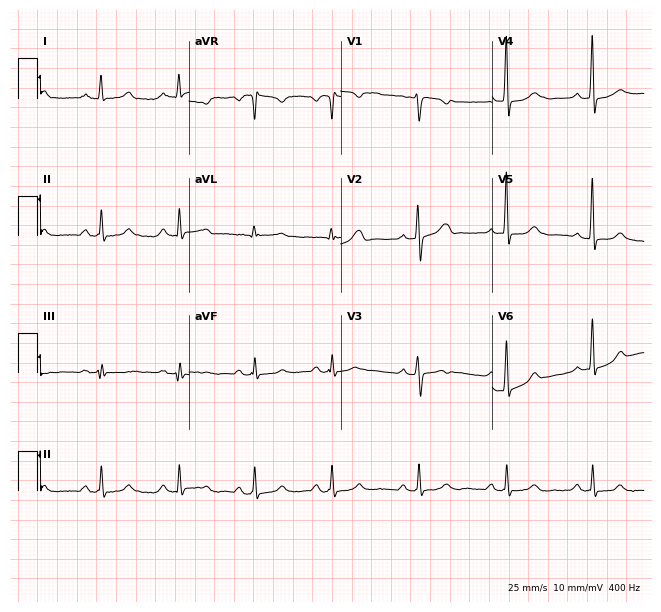
Resting 12-lead electrocardiogram (6.2-second recording at 400 Hz). Patient: a female, 20 years old. Read as a normal ECG.